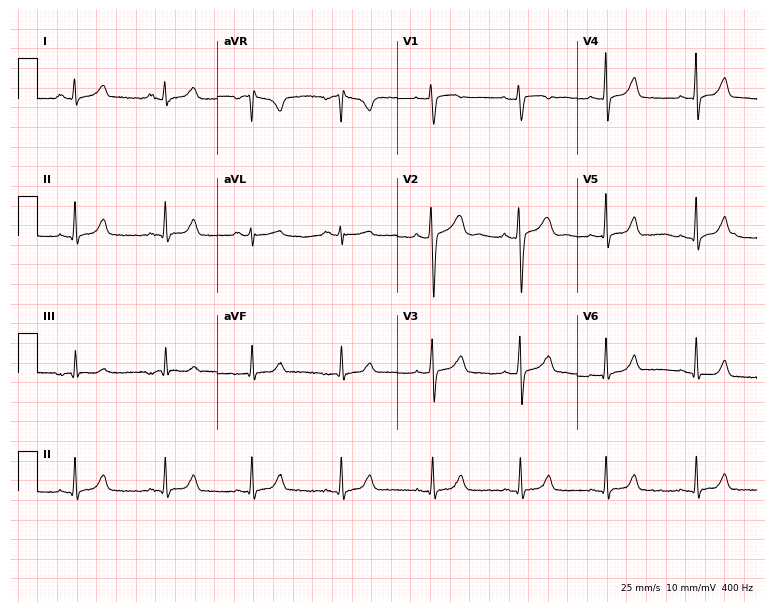
Electrocardiogram (7.3-second recording at 400 Hz), a female patient, 34 years old. Overall reading on record: normal ECG.